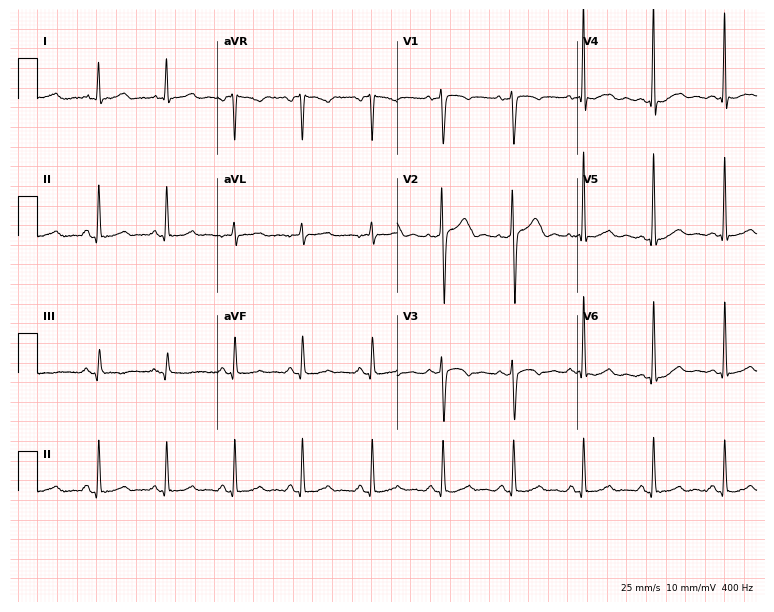
Standard 12-lead ECG recorded from a male, 50 years old (7.3-second recording at 400 Hz). Read as a normal ECG.